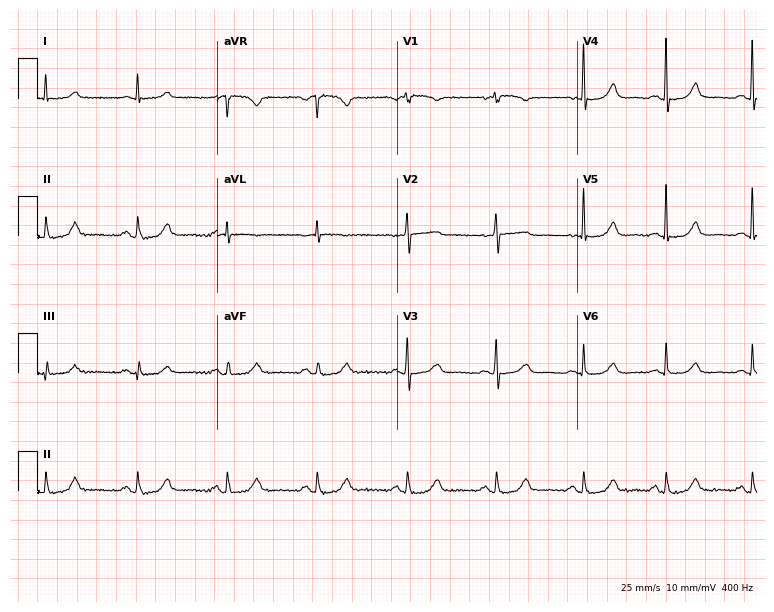
12-lead ECG from an 81-year-old female. Labelled as a normal ECG.